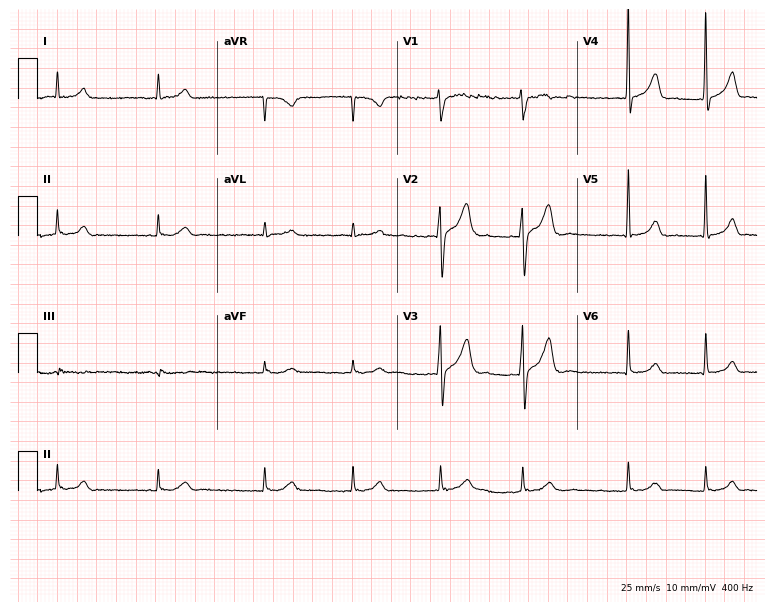
Standard 12-lead ECG recorded from a 73-year-old male patient. None of these six findings is recorded: first-degree AV block, right bundle branch block, left bundle branch block, sinus bradycardia, atrial fibrillation, sinus tachycardia. Findings outside these six are not listed.